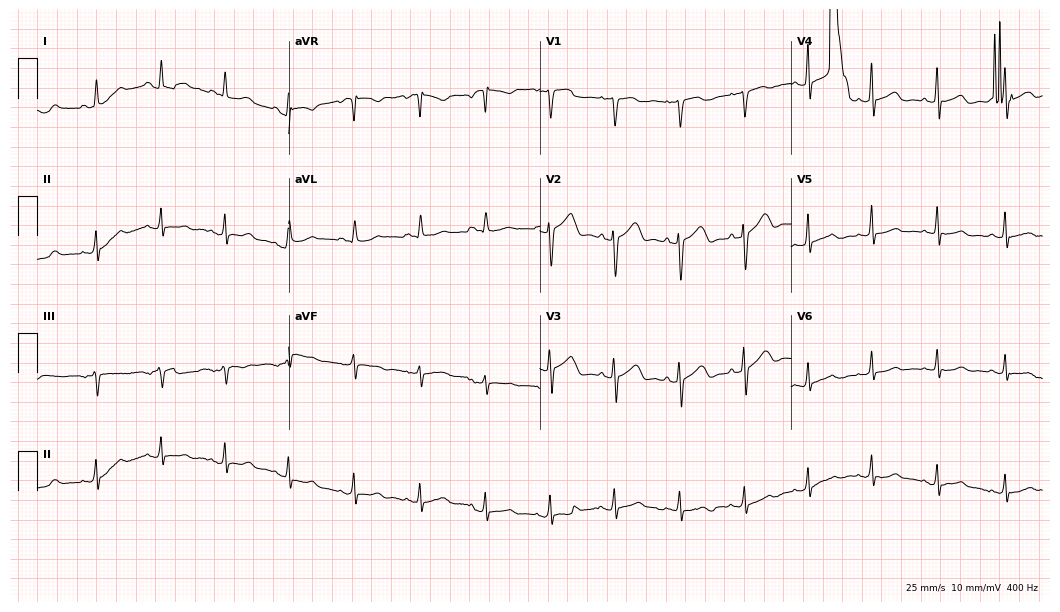
Electrocardiogram, a female patient, 53 years old. Overall reading on record: normal ECG.